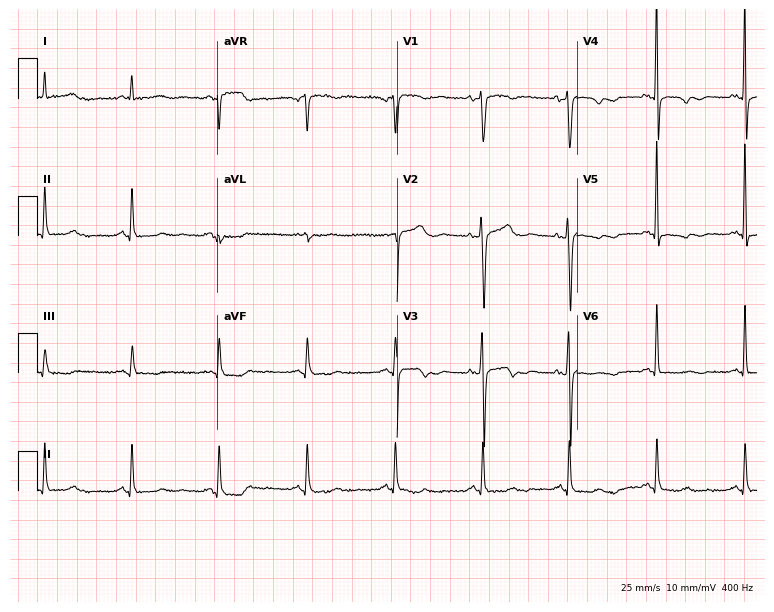
ECG (7.3-second recording at 400 Hz) — a female, 73 years old. Screened for six findings — first-degree AV block, right bundle branch block (RBBB), left bundle branch block (LBBB), sinus bradycardia, atrial fibrillation (AF), sinus tachycardia — none is recorded.